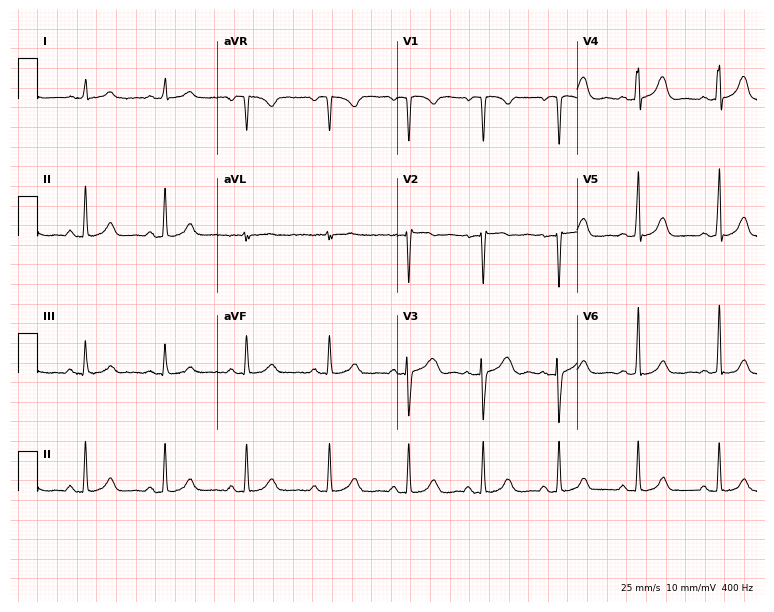
12-lead ECG from a female, 34 years old. No first-degree AV block, right bundle branch block, left bundle branch block, sinus bradycardia, atrial fibrillation or sinus tachycardia recorded for this tracing.